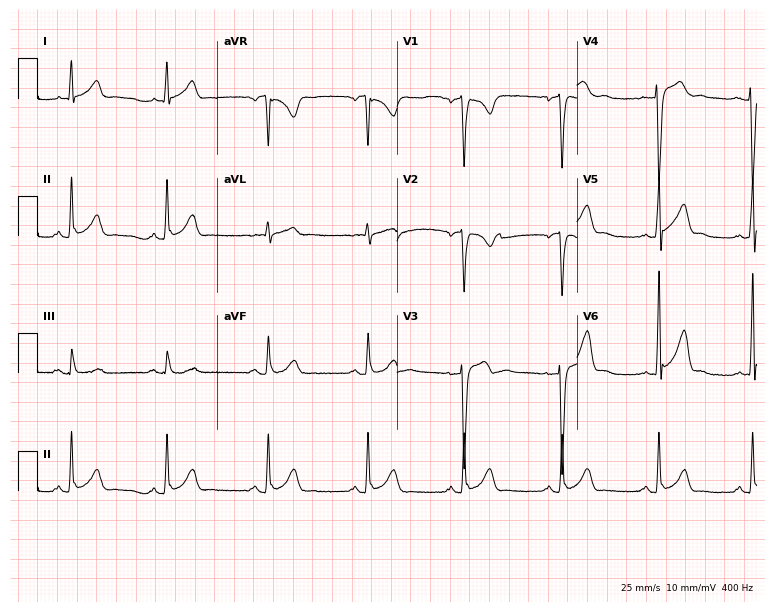
Electrocardiogram (7.3-second recording at 400 Hz), a 27-year-old male patient. Of the six screened findings (first-degree AV block, right bundle branch block (RBBB), left bundle branch block (LBBB), sinus bradycardia, atrial fibrillation (AF), sinus tachycardia), none is recorded.